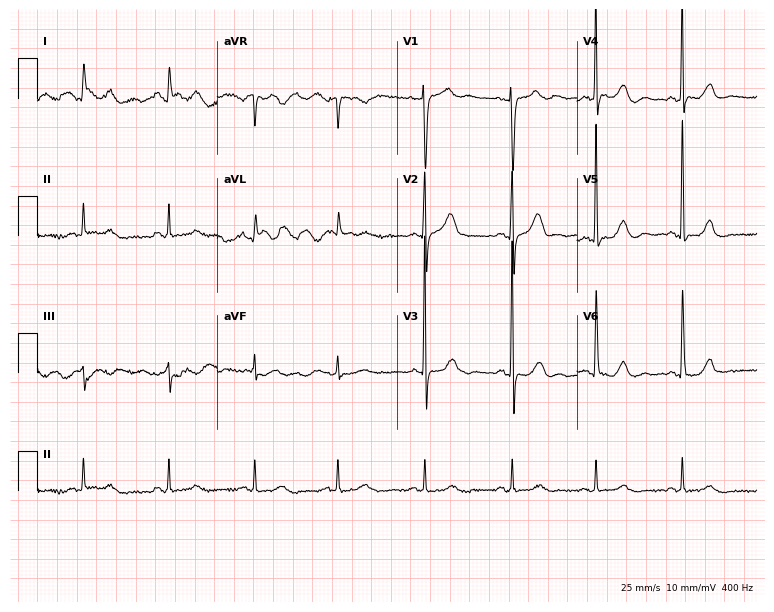
Electrocardiogram (7.3-second recording at 400 Hz), an 85-year-old female. Of the six screened findings (first-degree AV block, right bundle branch block, left bundle branch block, sinus bradycardia, atrial fibrillation, sinus tachycardia), none is recorded. Other findings, if any, are not listed.